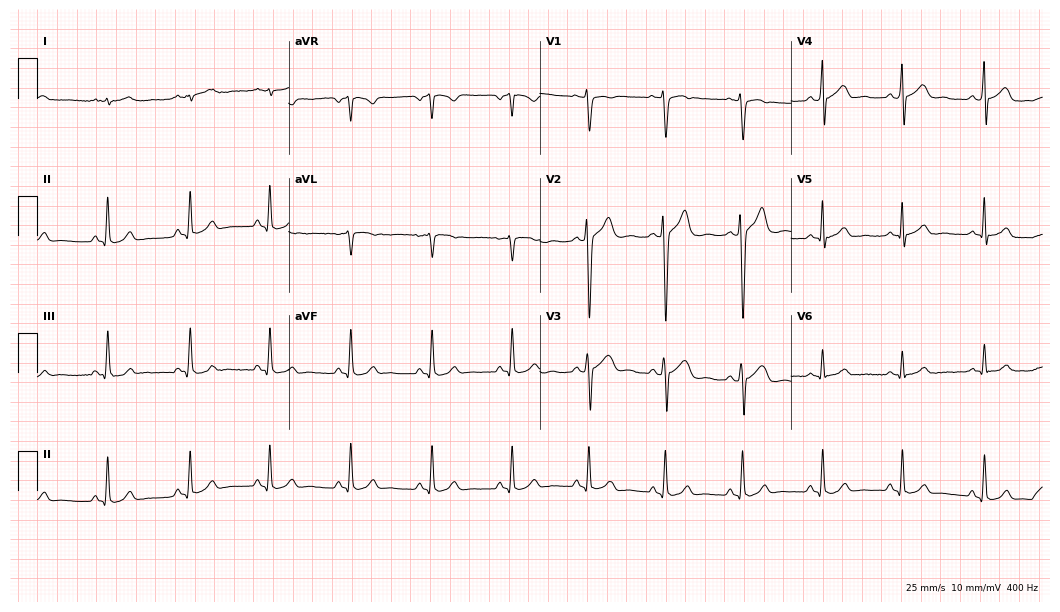
Electrocardiogram, a 26-year-old man. Of the six screened findings (first-degree AV block, right bundle branch block, left bundle branch block, sinus bradycardia, atrial fibrillation, sinus tachycardia), none is recorded. Findings outside these six are not listed.